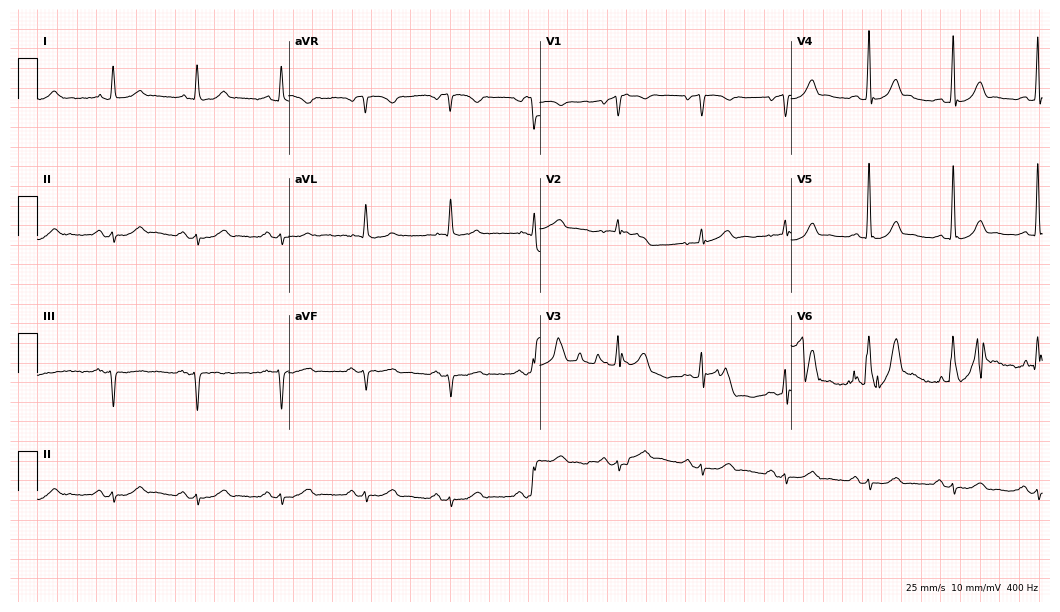
ECG — a man, 76 years old. Screened for six findings — first-degree AV block, right bundle branch block (RBBB), left bundle branch block (LBBB), sinus bradycardia, atrial fibrillation (AF), sinus tachycardia — none is recorded. Findings outside these six are not listed.